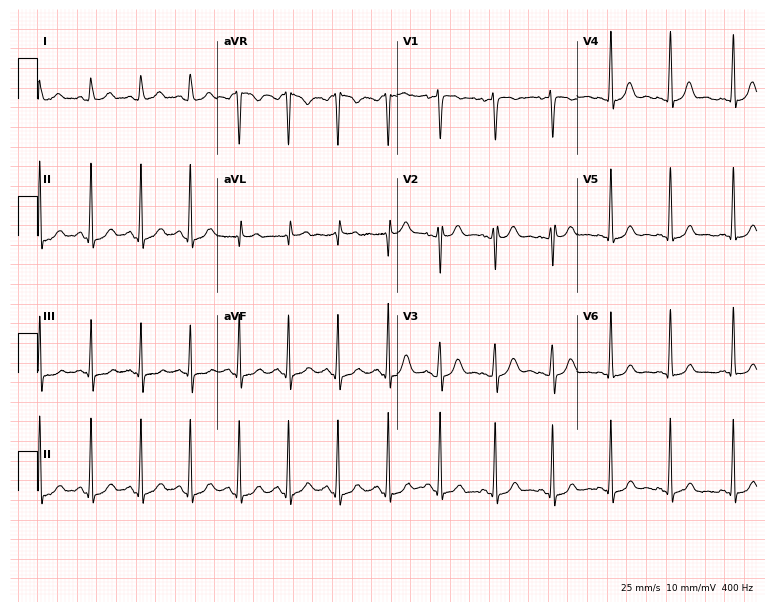
12-lead ECG from a female, 20 years old. Shows sinus tachycardia (a sinus rate of 100 beats per minute or more).